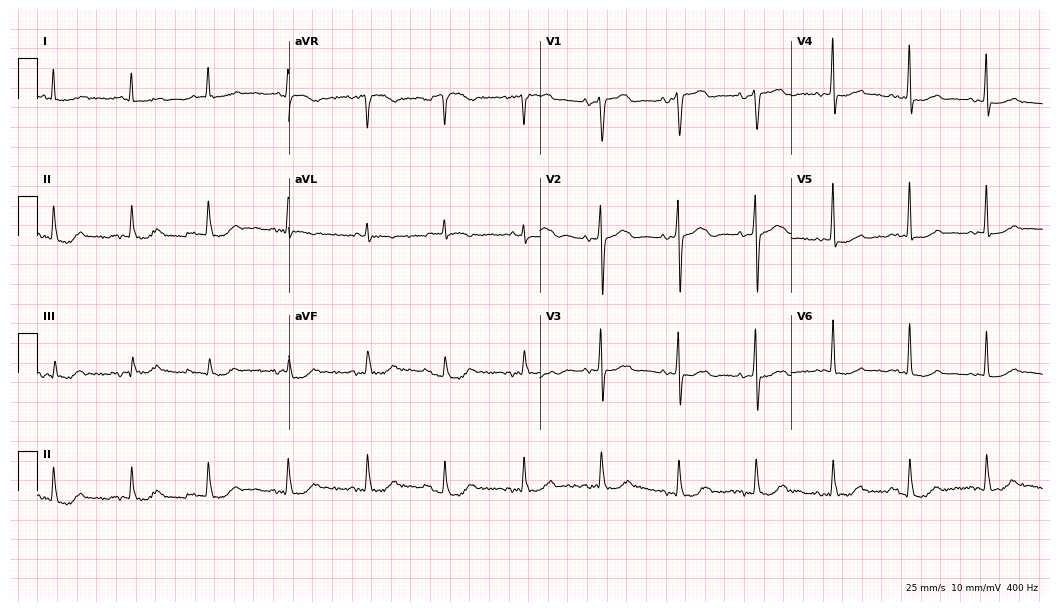
ECG (10.2-second recording at 400 Hz) — a man, 81 years old. Screened for six findings — first-degree AV block, right bundle branch block (RBBB), left bundle branch block (LBBB), sinus bradycardia, atrial fibrillation (AF), sinus tachycardia — none is recorded. Only these six findings were labelled.